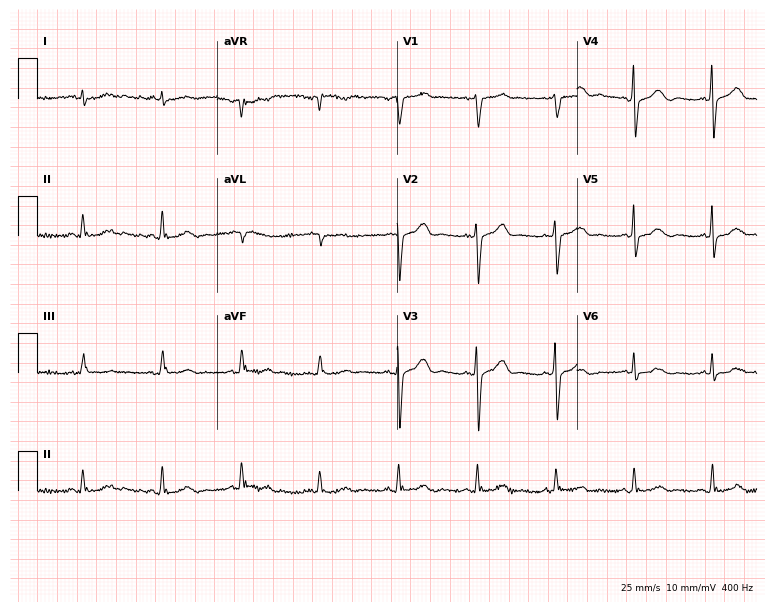
Resting 12-lead electrocardiogram. Patient: a 76-year-old male. None of these six findings is recorded: first-degree AV block, right bundle branch block, left bundle branch block, sinus bradycardia, atrial fibrillation, sinus tachycardia. Other findings, if any, are not listed.